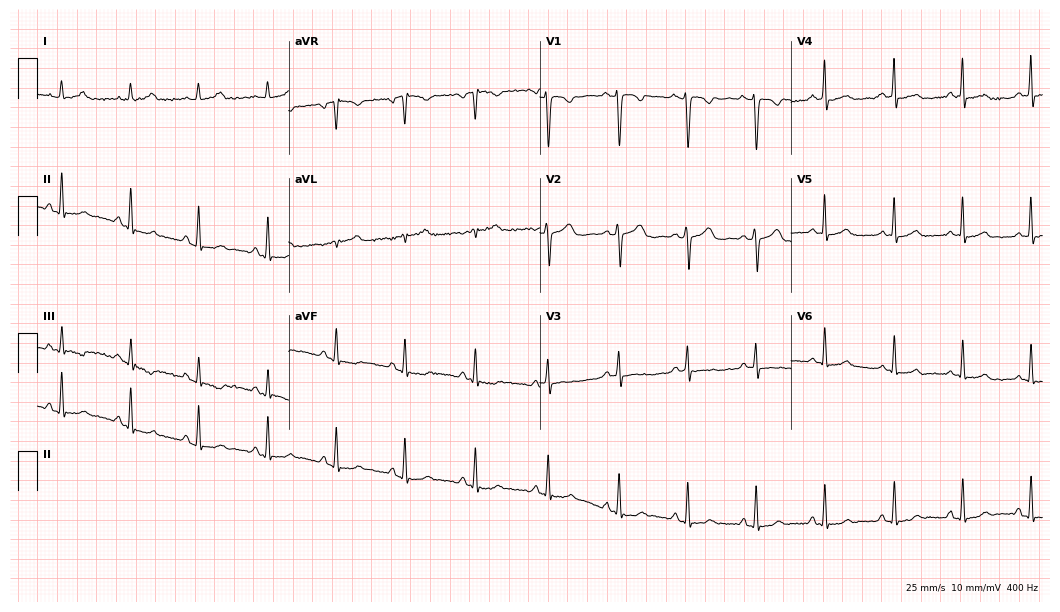
Resting 12-lead electrocardiogram. Patient: a woman, 29 years old. None of these six findings is recorded: first-degree AV block, right bundle branch block, left bundle branch block, sinus bradycardia, atrial fibrillation, sinus tachycardia.